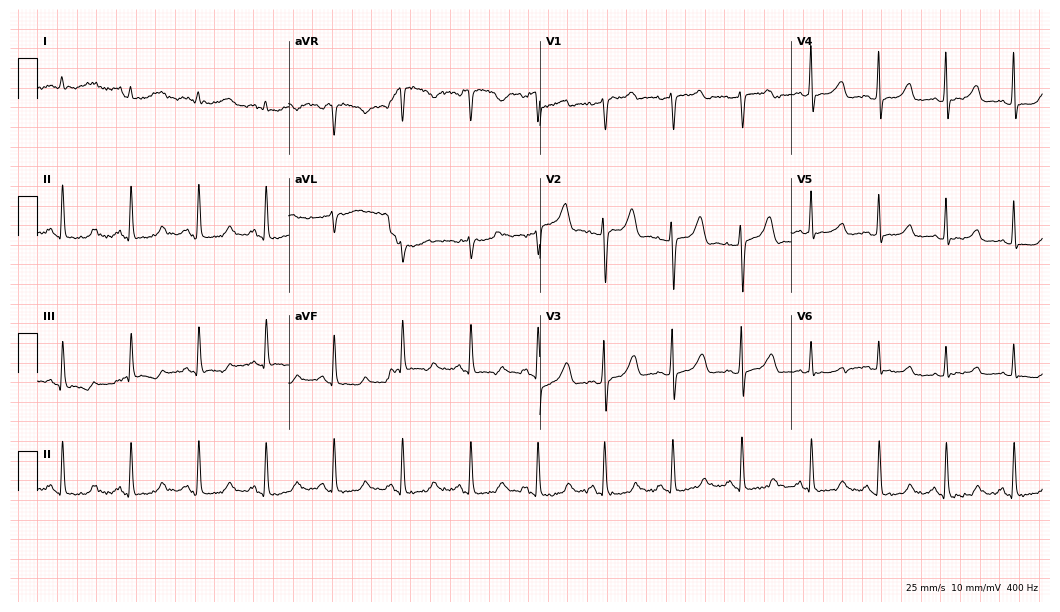
Electrocardiogram, a 74-year-old female patient. Of the six screened findings (first-degree AV block, right bundle branch block (RBBB), left bundle branch block (LBBB), sinus bradycardia, atrial fibrillation (AF), sinus tachycardia), none is recorded. Only these six findings were labelled.